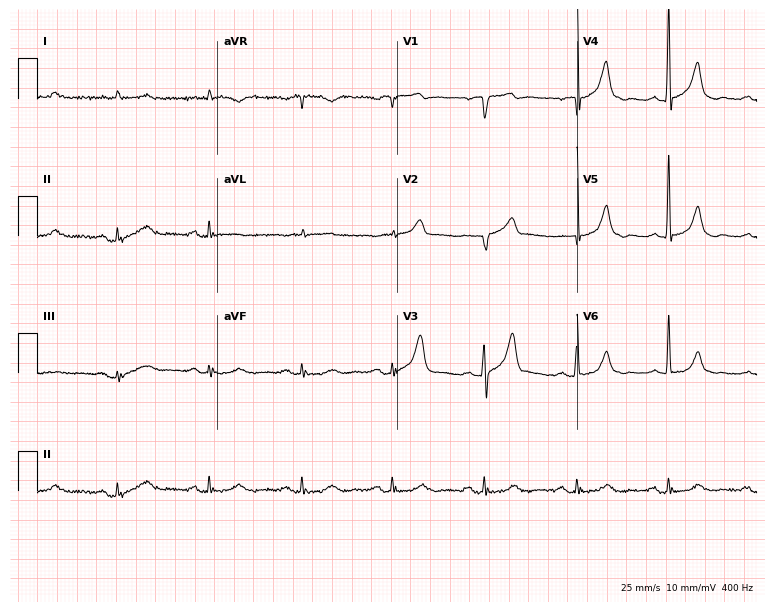
12-lead ECG from an 84-year-old male patient. Labelled as a normal ECG.